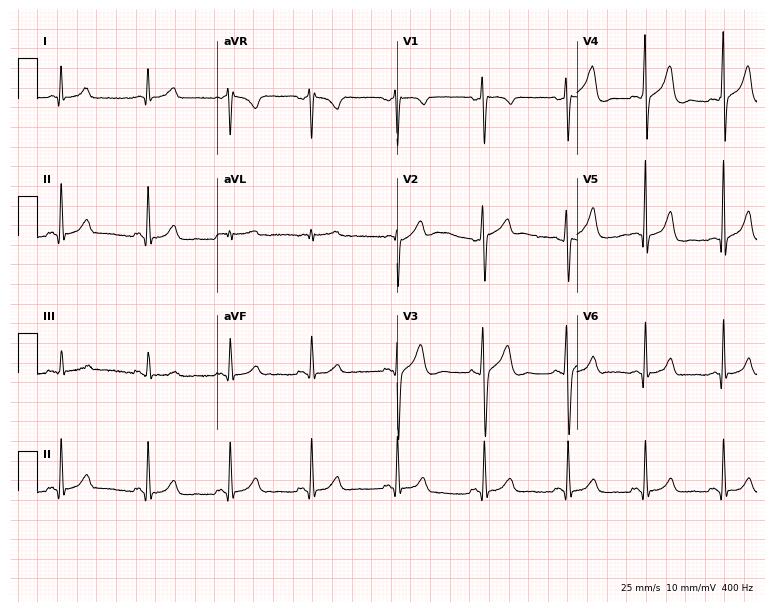
12-lead ECG from a male patient, 34 years old. Labelled as a normal ECG.